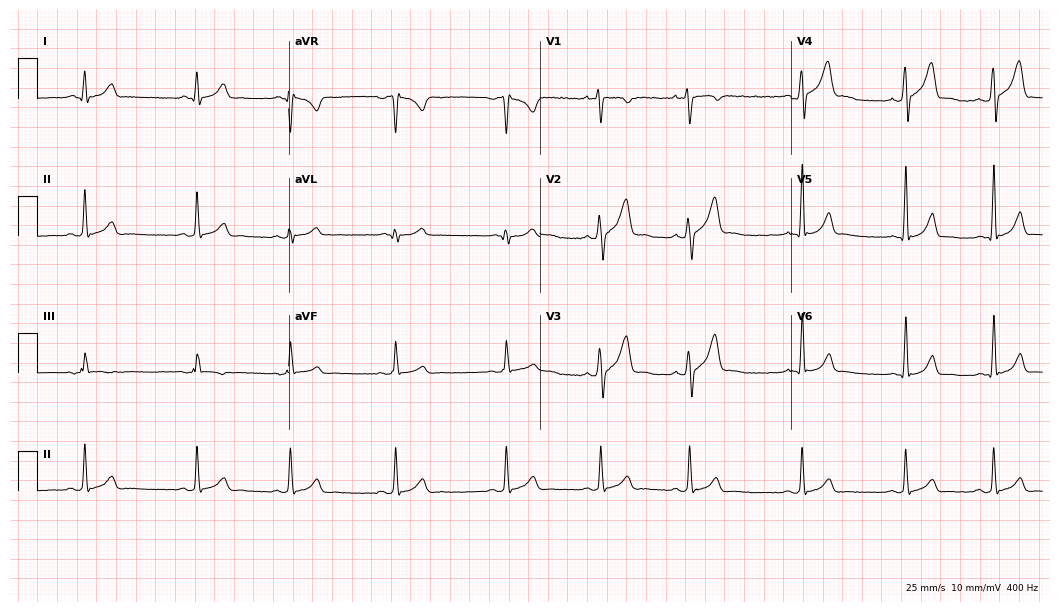
Resting 12-lead electrocardiogram. Patient: a male, 20 years old. Read as a normal ECG.